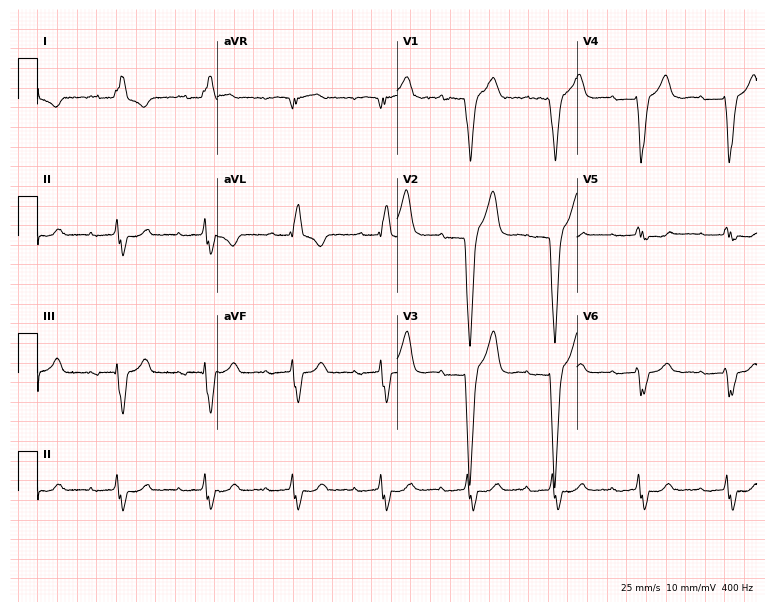
12-lead ECG (7.3-second recording at 400 Hz) from a female, 79 years old. Findings include first-degree AV block, left bundle branch block.